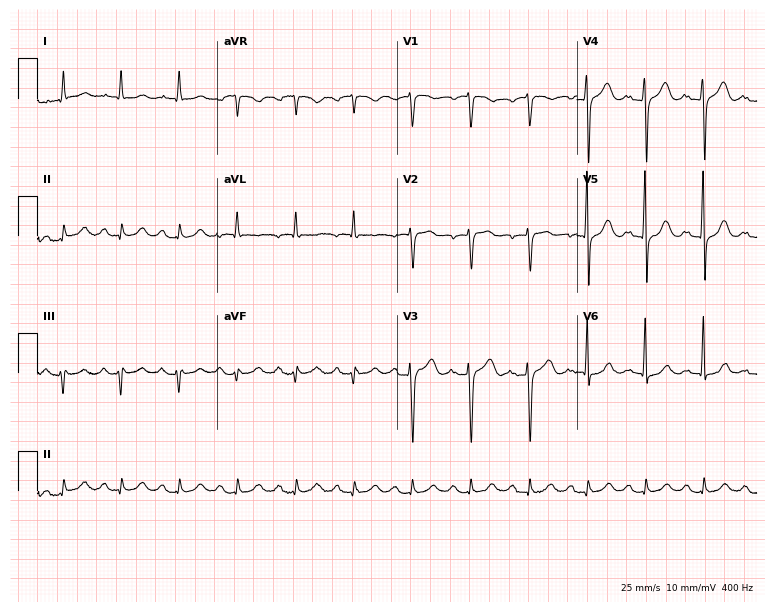
ECG — an 80-year-old male patient. Findings include sinus tachycardia (a sinus rate of 100 beats per minute or more).